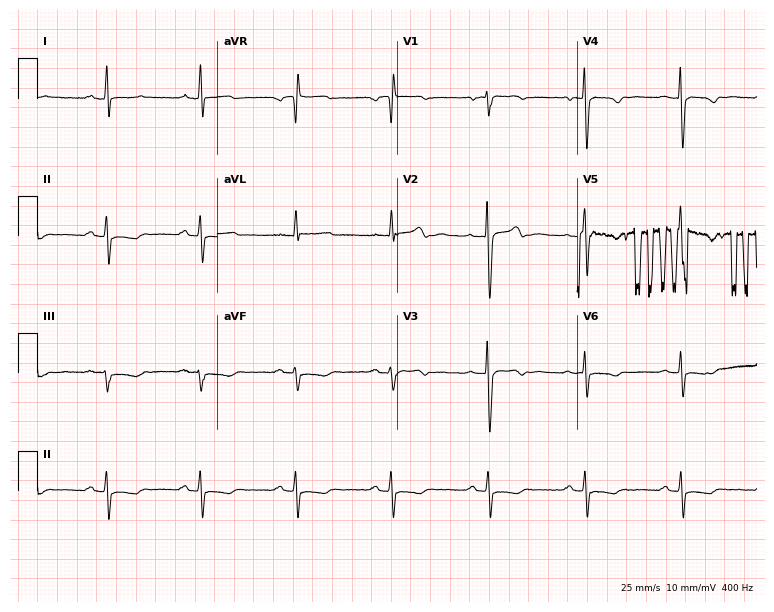
12-lead ECG from a woman, 46 years old. Screened for six findings — first-degree AV block, right bundle branch block, left bundle branch block, sinus bradycardia, atrial fibrillation, sinus tachycardia — none is recorded. Other findings, if any, are not listed.